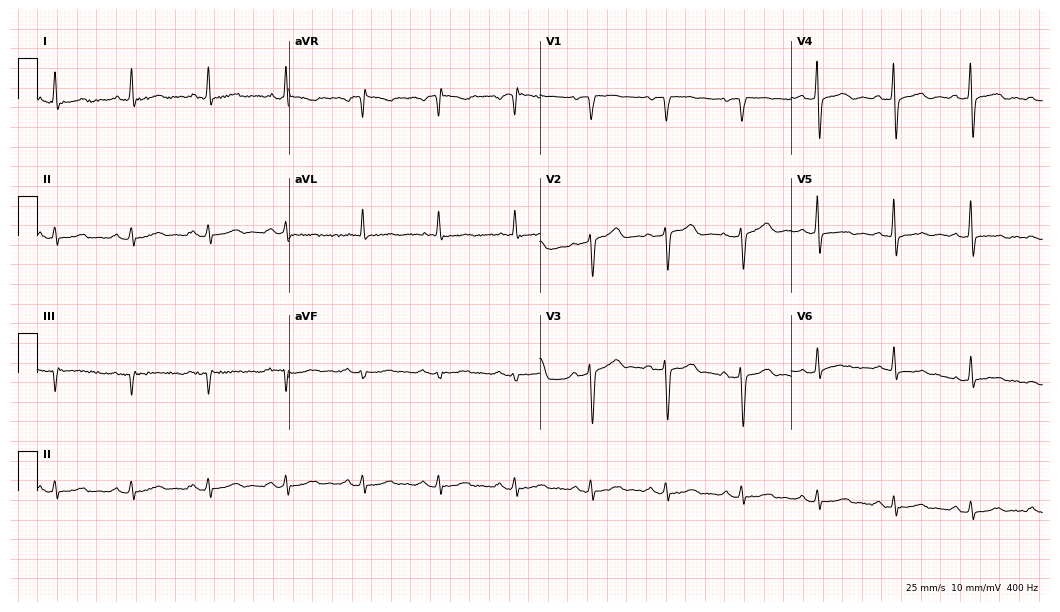
Electrocardiogram (10.2-second recording at 400 Hz), a male patient, 53 years old. Overall reading on record: normal ECG.